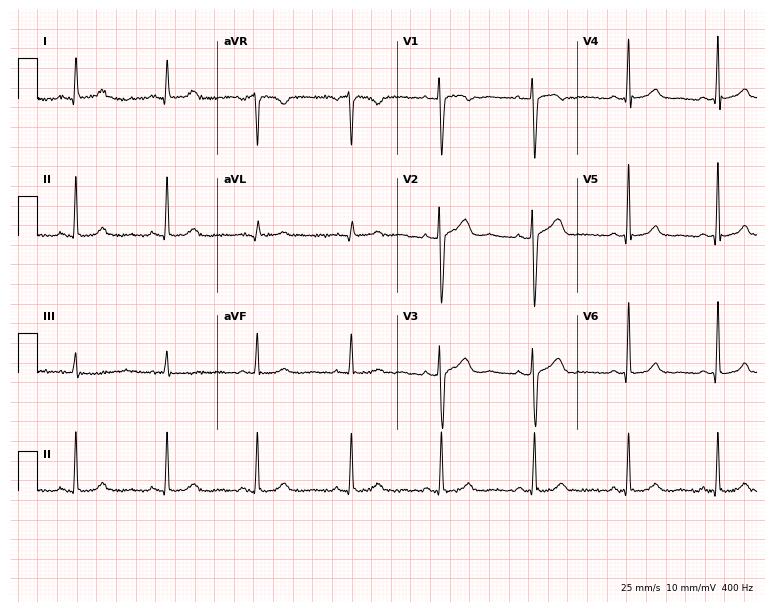
Standard 12-lead ECG recorded from a 31-year-old female patient (7.3-second recording at 400 Hz). None of these six findings is recorded: first-degree AV block, right bundle branch block (RBBB), left bundle branch block (LBBB), sinus bradycardia, atrial fibrillation (AF), sinus tachycardia. Only these six findings were labelled.